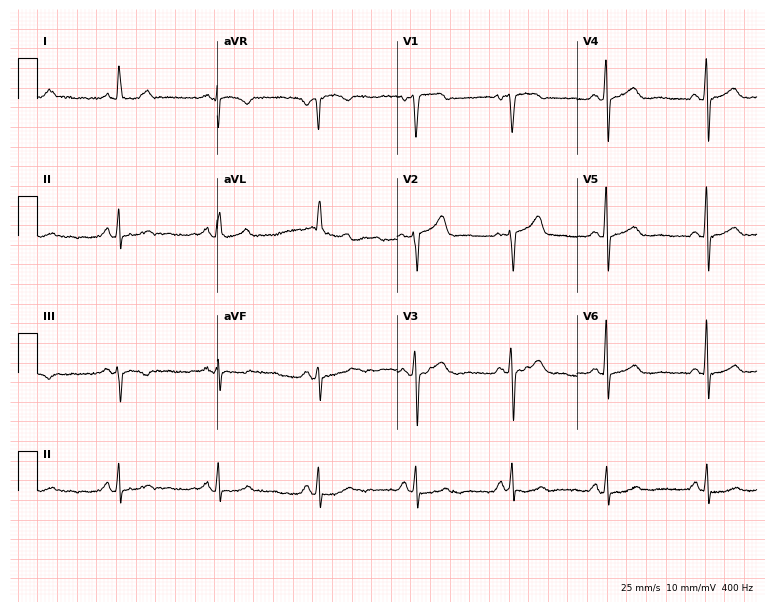
Electrocardiogram (7.3-second recording at 400 Hz), a 65-year-old woman. Of the six screened findings (first-degree AV block, right bundle branch block (RBBB), left bundle branch block (LBBB), sinus bradycardia, atrial fibrillation (AF), sinus tachycardia), none is recorded. Only these six findings were labelled.